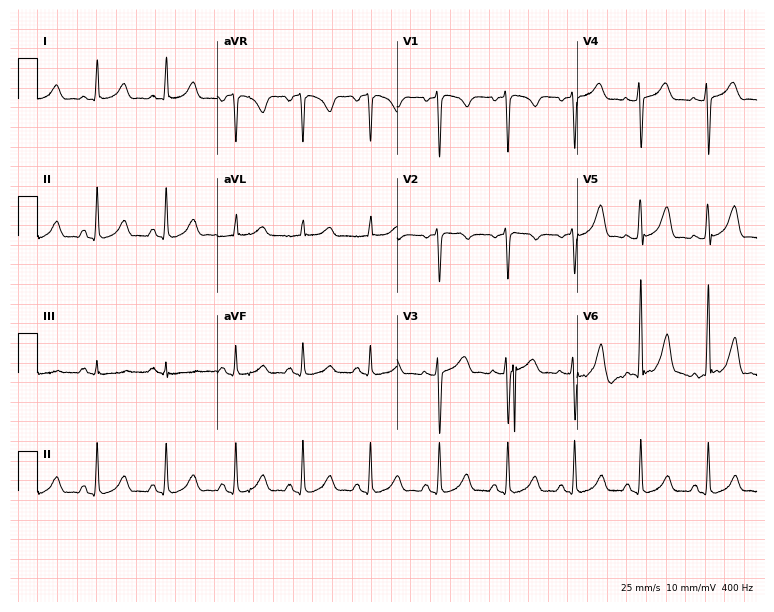
12-lead ECG (7.3-second recording at 400 Hz) from a female patient, 58 years old. Screened for six findings — first-degree AV block, right bundle branch block (RBBB), left bundle branch block (LBBB), sinus bradycardia, atrial fibrillation (AF), sinus tachycardia — none is recorded.